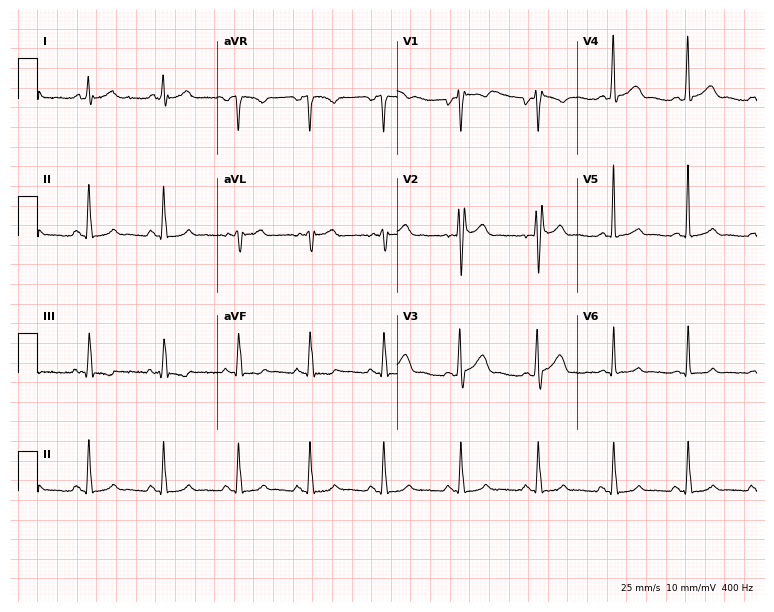
Resting 12-lead electrocardiogram. Patient: a 38-year-old male. Read as a normal ECG.